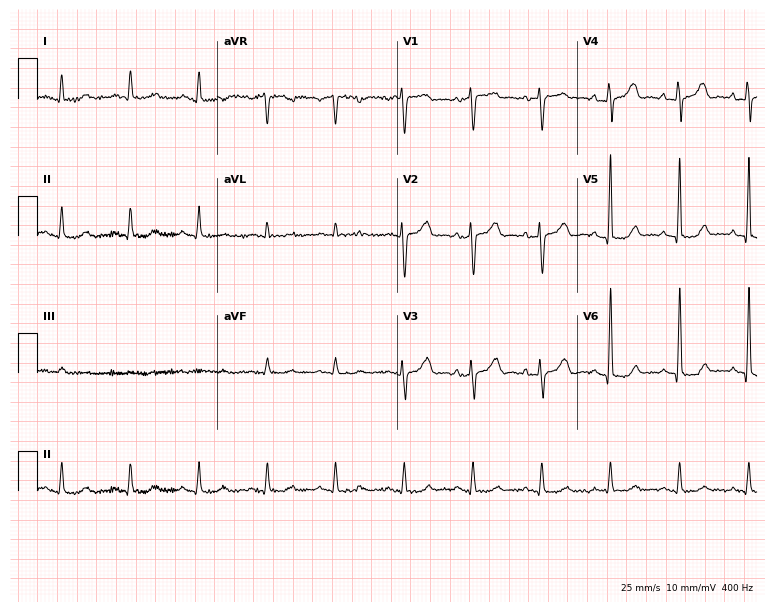
12-lead ECG from a 76-year-old man. Labelled as a normal ECG.